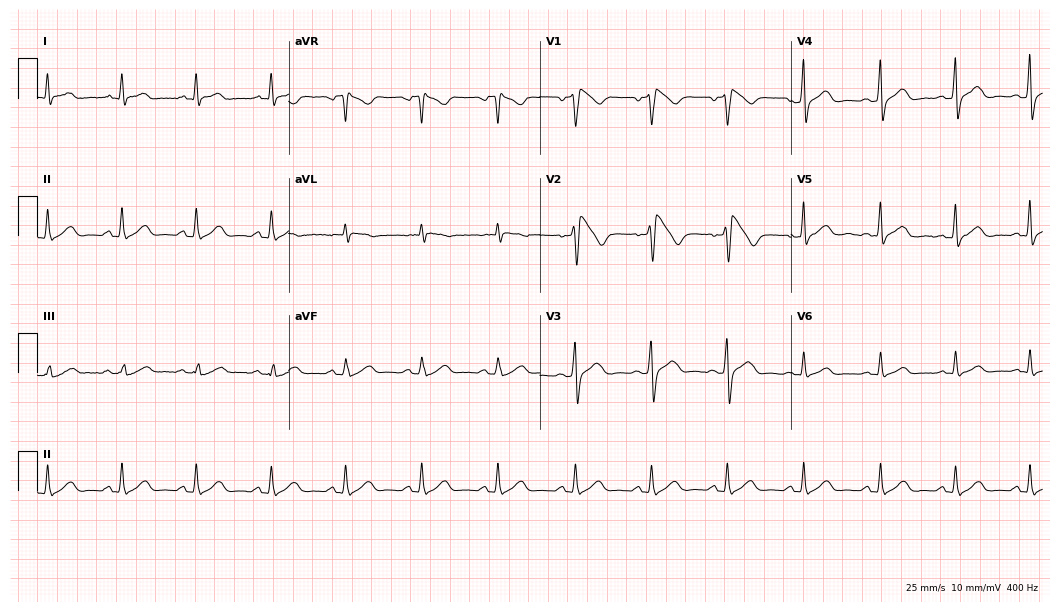
Standard 12-lead ECG recorded from a male, 44 years old. None of these six findings is recorded: first-degree AV block, right bundle branch block (RBBB), left bundle branch block (LBBB), sinus bradycardia, atrial fibrillation (AF), sinus tachycardia.